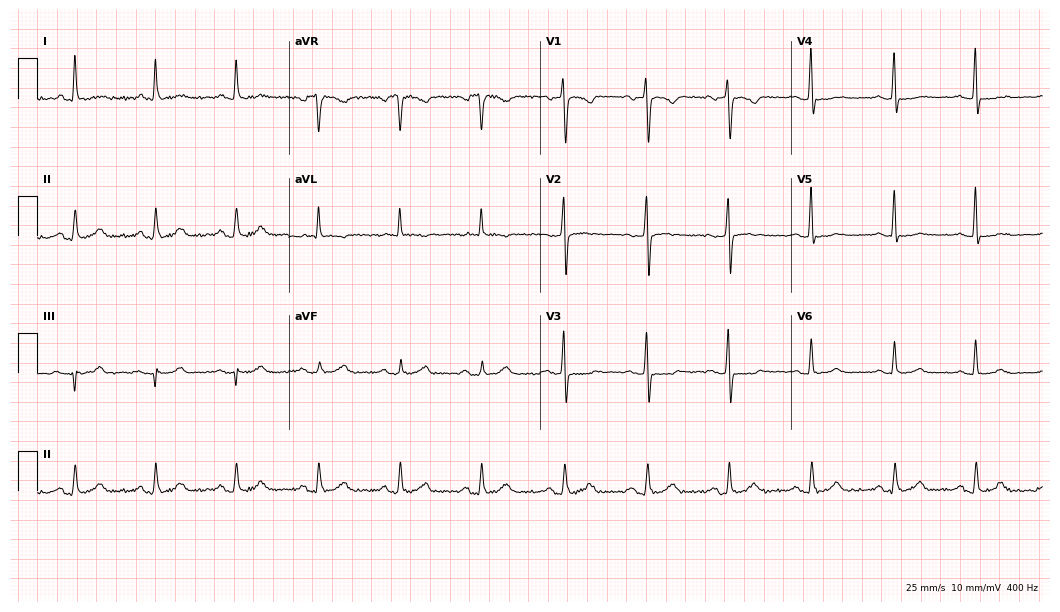
ECG — a female, 46 years old. Labelled as a normal ECG.